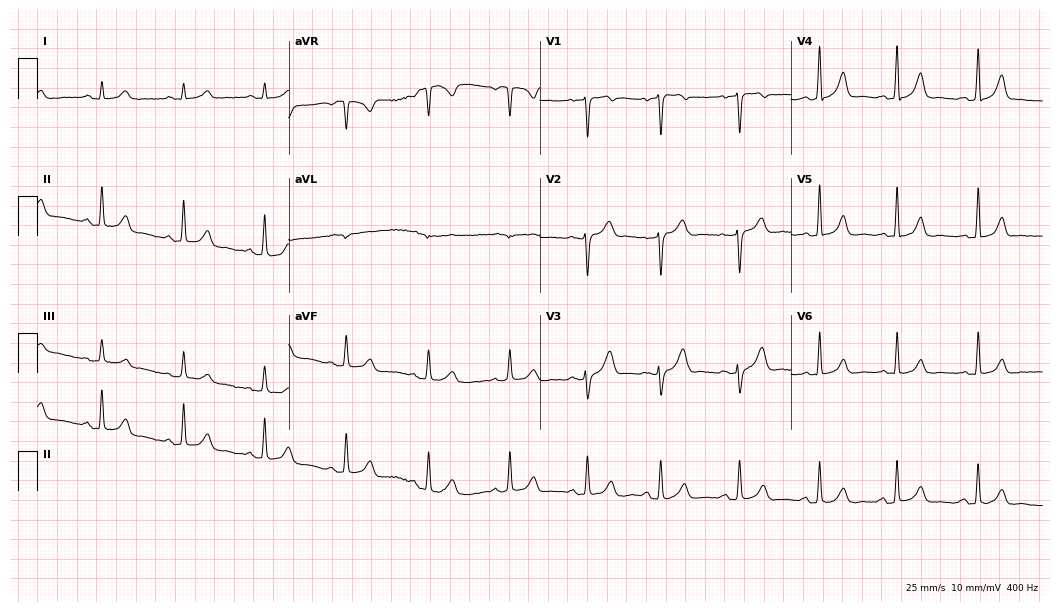
Resting 12-lead electrocardiogram. Patient: a female, 49 years old. Read as a normal ECG.